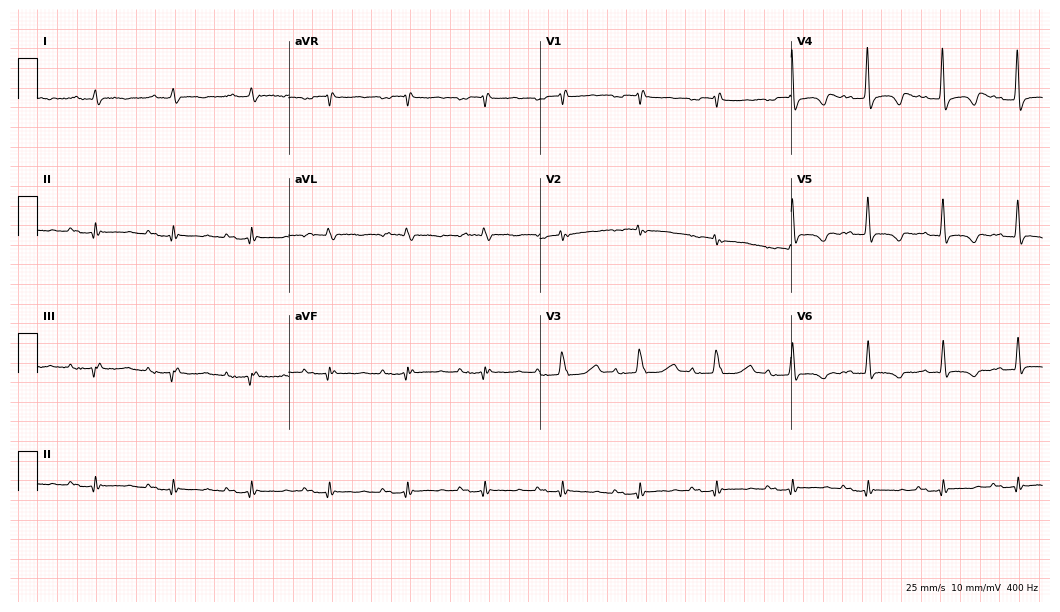
12-lead ECG from a woman, 77 years old (10.2-second recording at 400 Hz). Shows first-degree AV block.